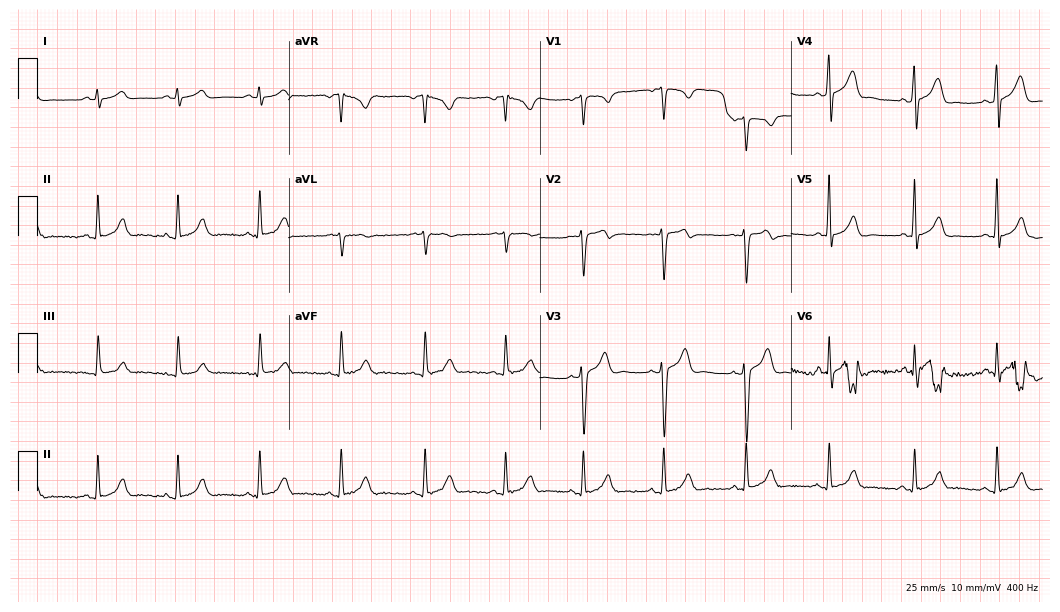
12-lead ECG from a 30-year-old male (10.2-second recording at 400 Hz). Recorded interpretation: within normal limits.